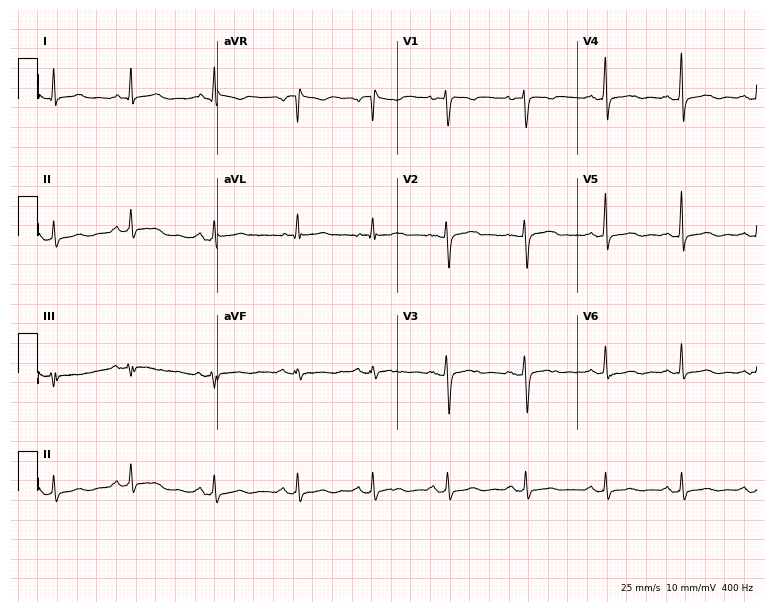
Standard 12-lead ECG recorded from a female, 37 years old. None of these six findings is recorded: first-degree AV block, right bundle branch block, left bundle branch block, sinus bradycardia, atrial fibrillation, sinus tachycardia.